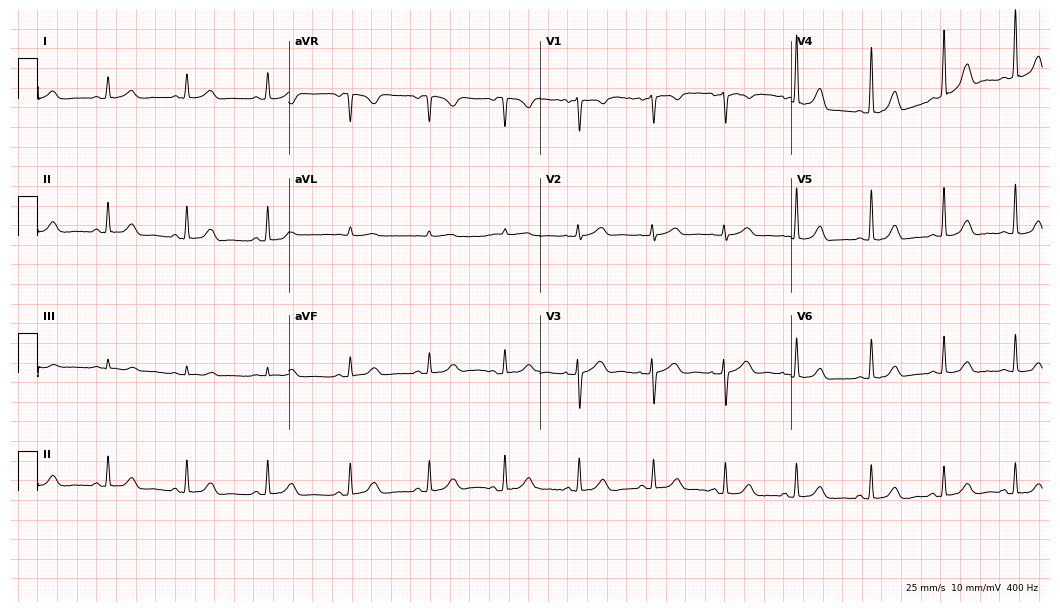
Standard 12-lead ECG recorded from a 65-year-old male patient (10.2-second recording at 400 Hz). Read as a normal ECG.